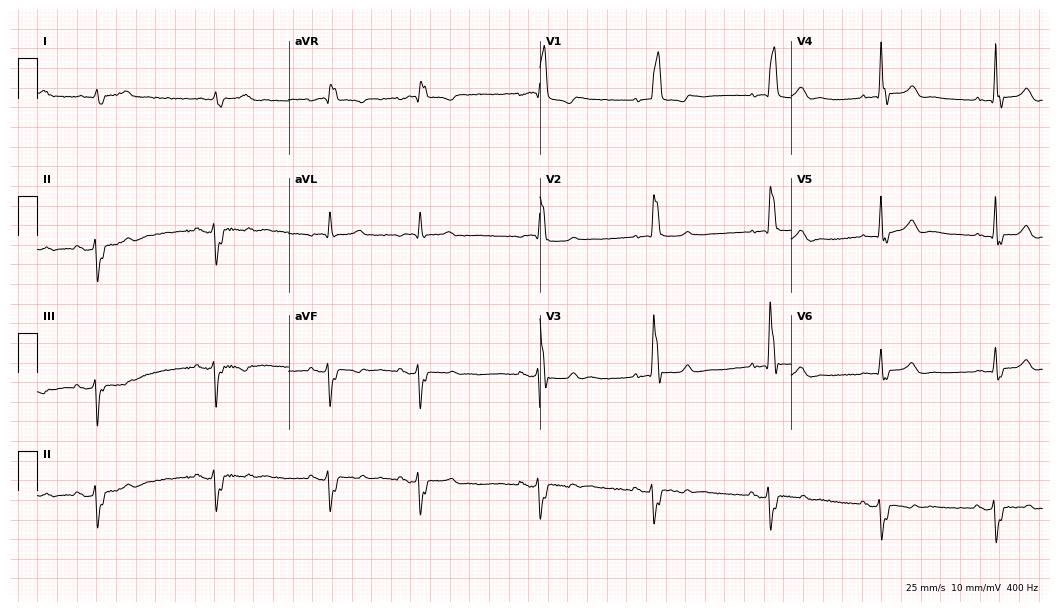
ECG — a male patient, 83 years old. Findings include right bundle branch block (RBBB).